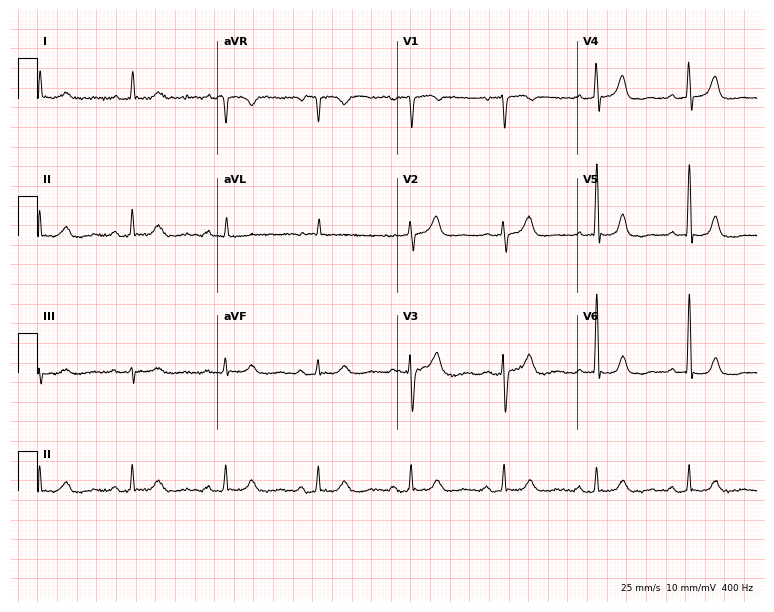
Electrocardiogram (7.3-second recording at 400 Hz), a 74-year-old female patient. Overall reading on record: normal ECG.